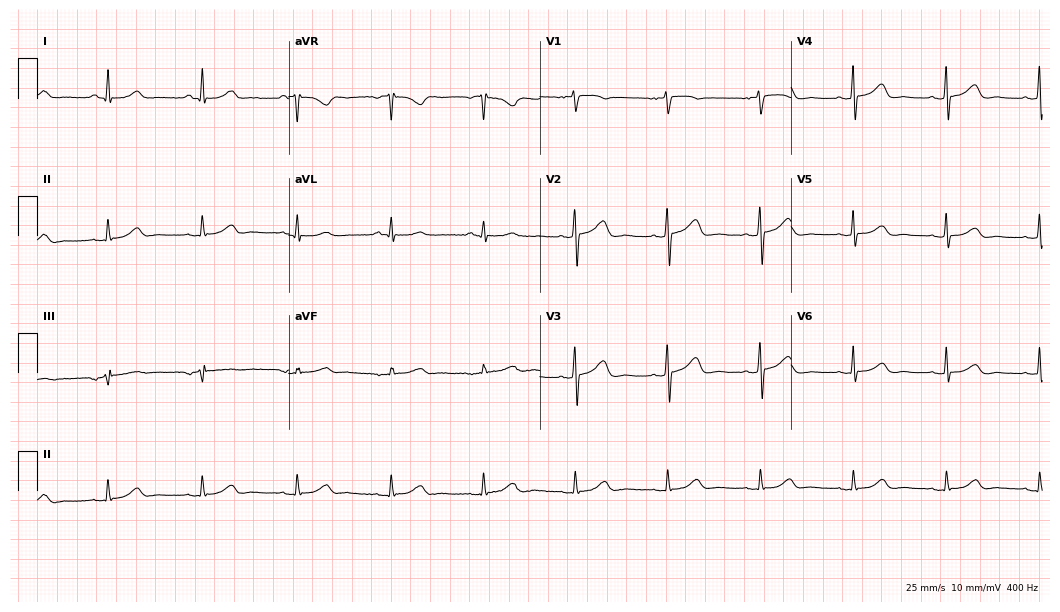
Electrocardiogram, a 62-year-old woman. Overall reading on record: normal ECG.